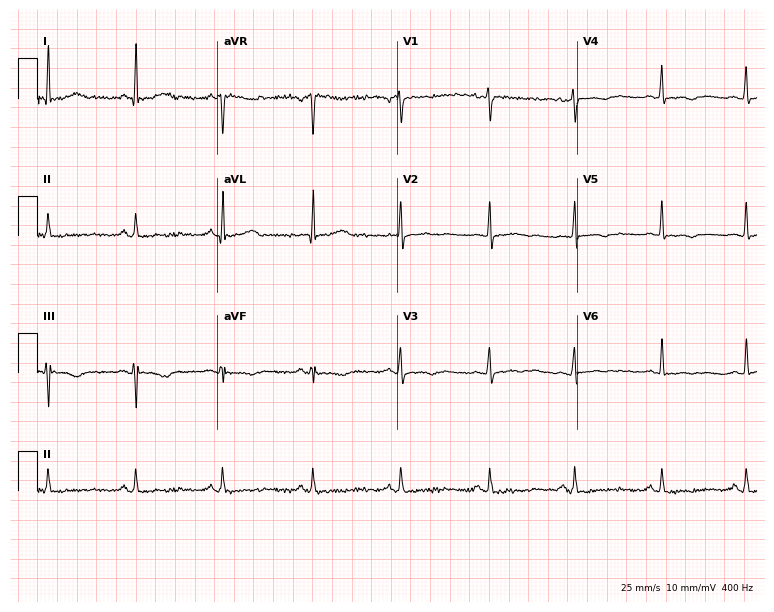
Resting 12-lead electrocardiogram (7.3-second recording at 400 Hz). Patient: a 34-year-old woman. None of these six findings is recorded: first-degree AV block, right bundle branch block, left bundle branch block, sinus bradycardia, atrial fibrillation, sinus tachycardia. Only these six findings were labelled.